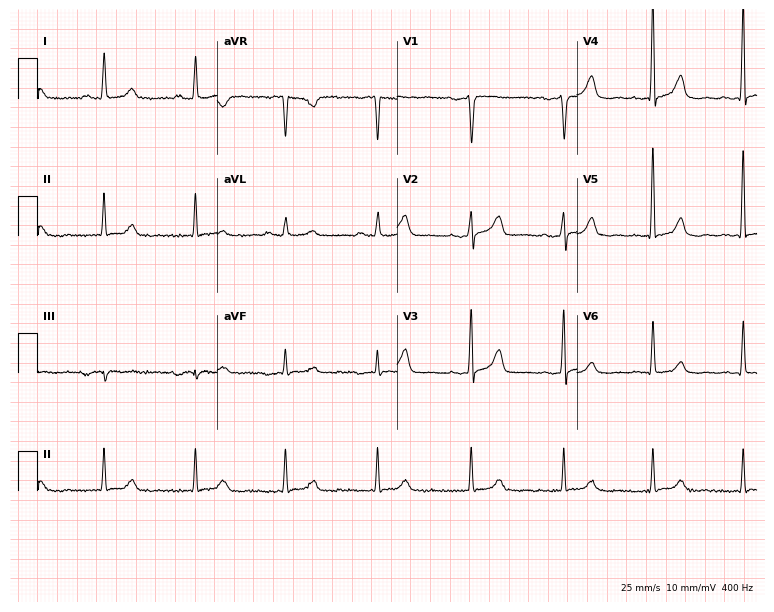
Electrocardiogram, a woman, 59 years old. Of the six screened findings (first-degree AV block, right bundle branch block, left bundle branch block, sinus bradycardia, atrial fibrillation, sinus tachycardia), none is recorded. Findings outside these six are not listed.